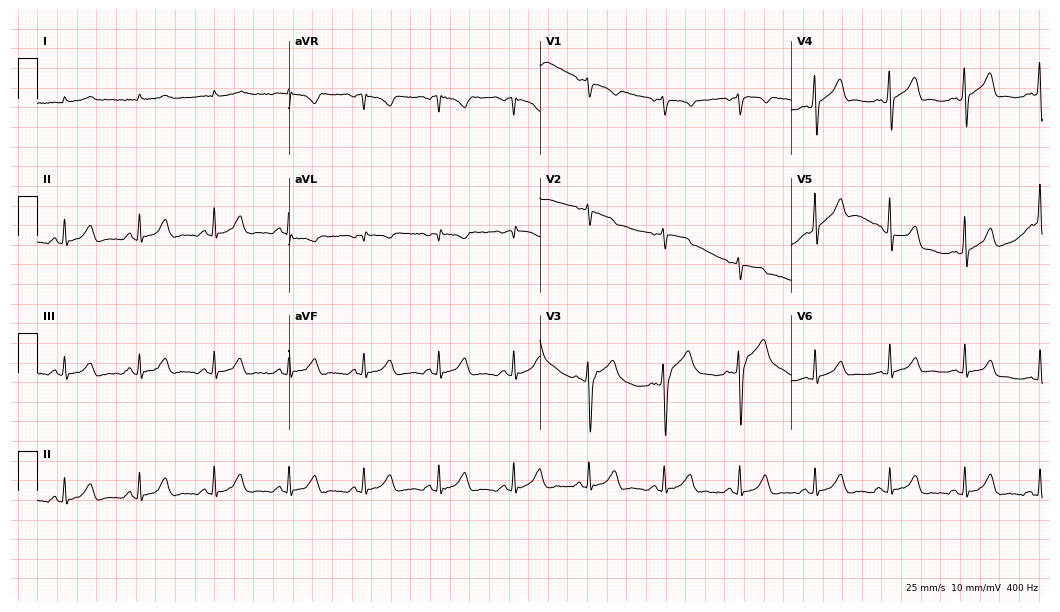
Standard 12-lead ECG recorded from a man, 51 years old. None of these six findings is recorded: first-degree AV block, right bundle branch block, left bundle branch block, sinus bradycardia, atrial fibrillation, sinus tachycardia.